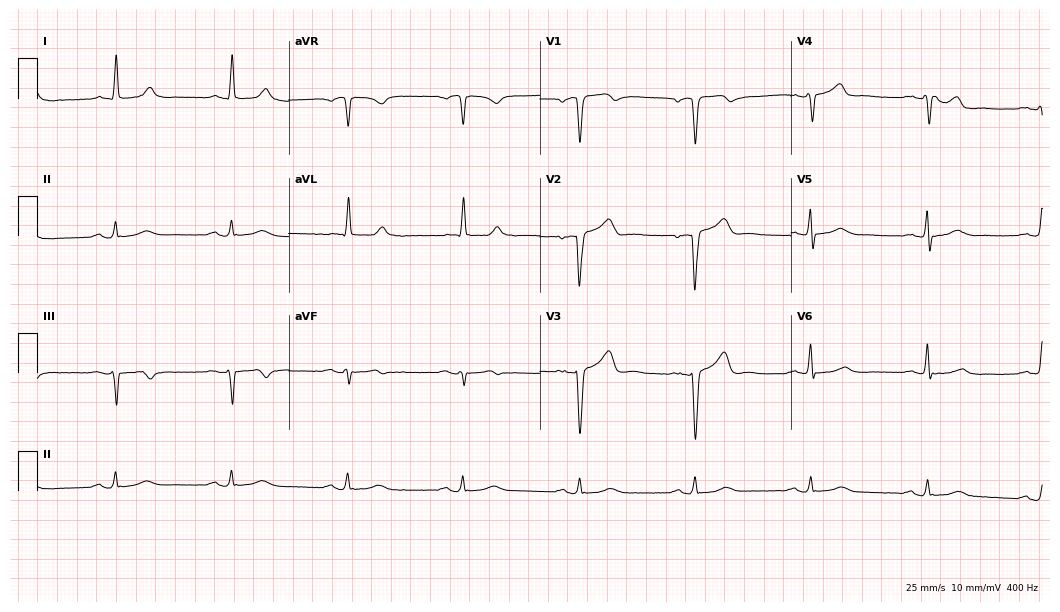
Resting 12-lead electrocardiogram (10.2-second recording at 400 Hz). Patient: an 85-year-old male. Read as a normal ECG.